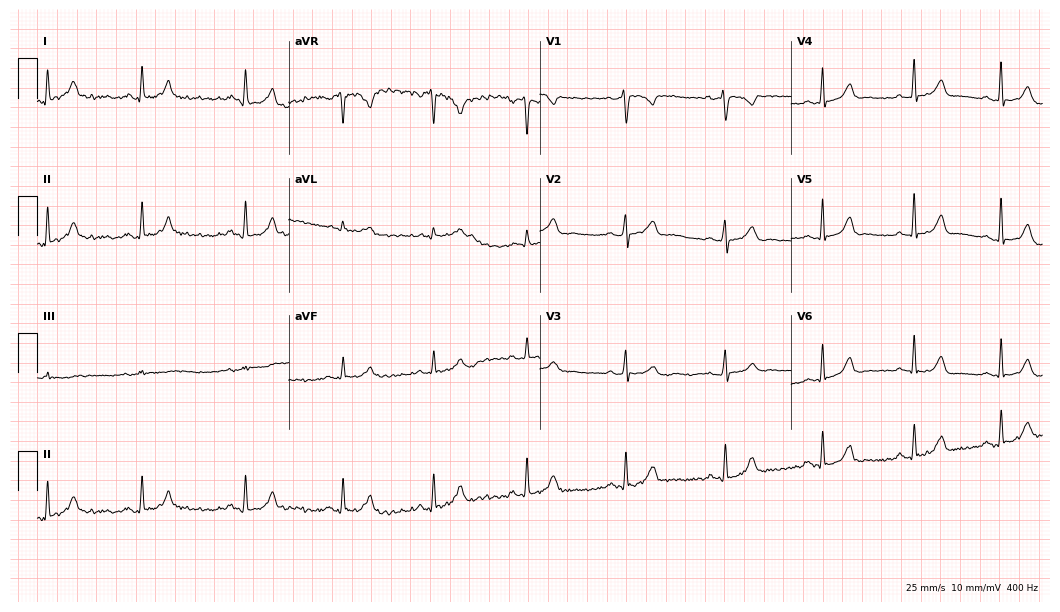
12-lead ECG from a 30-year-old woman. Recorded interpretation: within normal limits.